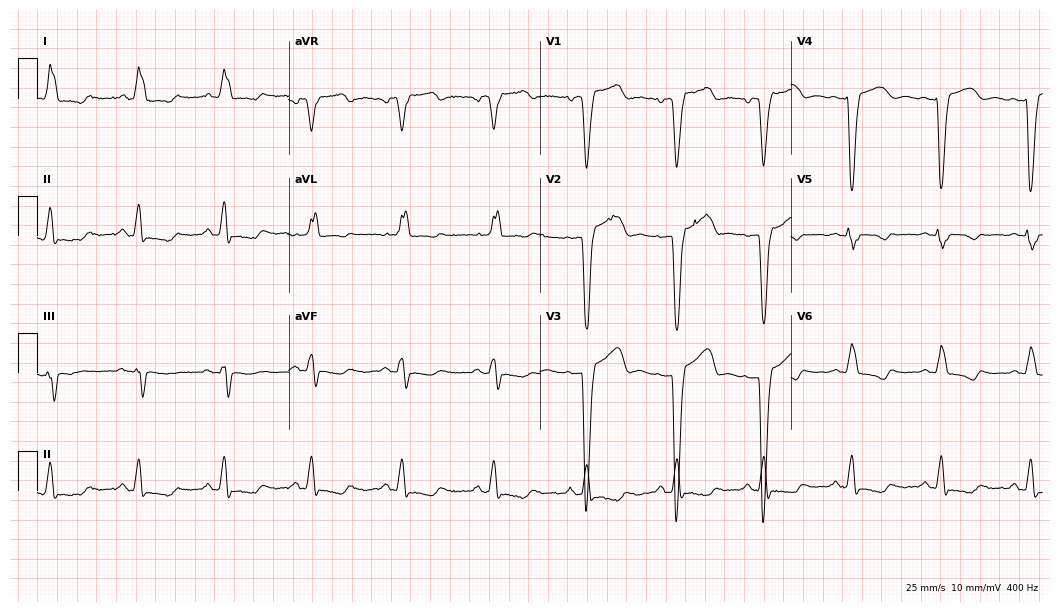
ECG (10.2-second recording at 400 Hz) — a 61-year-old female. Findings include left bundle branch block.